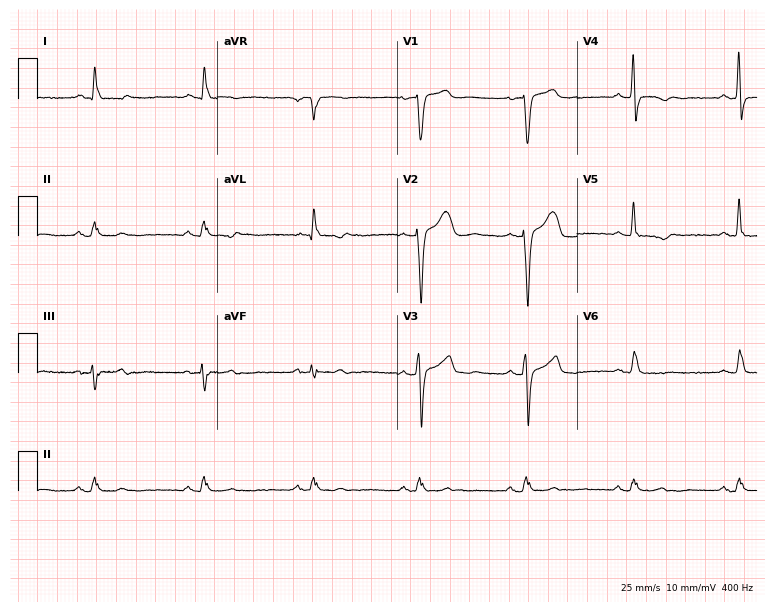
Resting 12-lead electrocardiogram (7.3-second recording at 400 Hz). Patient: a 64-year-old male. None of these six findings is recorded: first-degree AV block, right bundle branch block (RBBB), left bundle branch block (LBBB), sinus bradycardia, atrial fibrillation (AF), sinus tachycardia.